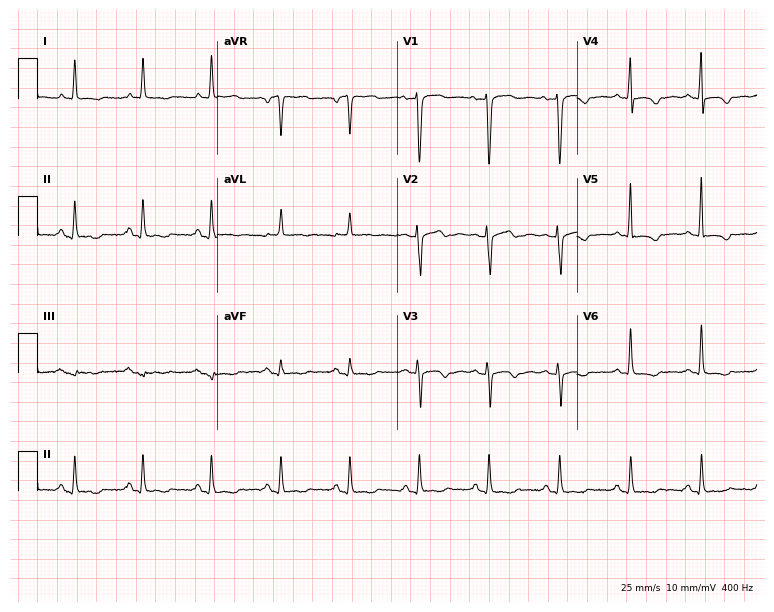
Electrocardiogram, a female, 66 years old. Of the six screened findings (first-degree AV block, right bundle branch block, left bundle branch block, sinus bradycardia, atrial fibrillation, sinus tachycardia), none is recorded. Findings outside these six are not listed.